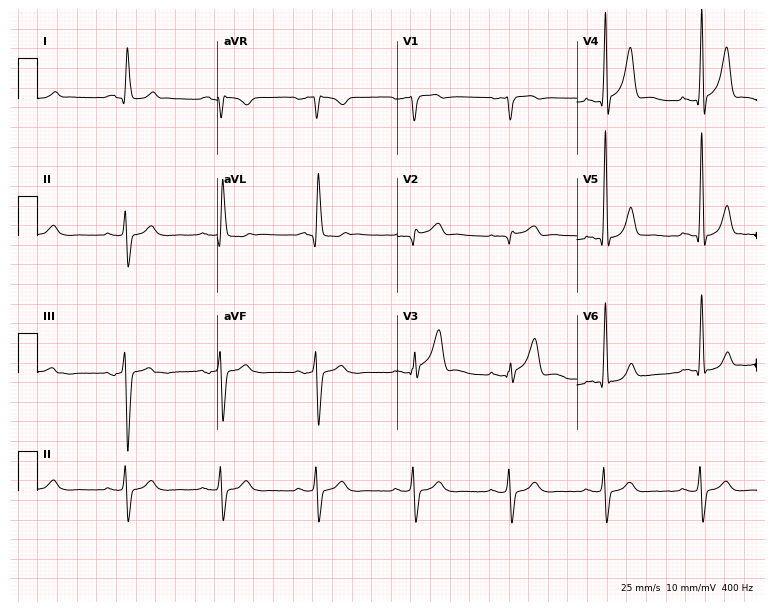
12-lead ECG from a male patient, 66 years old. No first-degree AV block, right bundle branch block, left bundle branch block, sinus bradycardia, atrial fibrillation or sinus tachycardia recorded for this tracing.